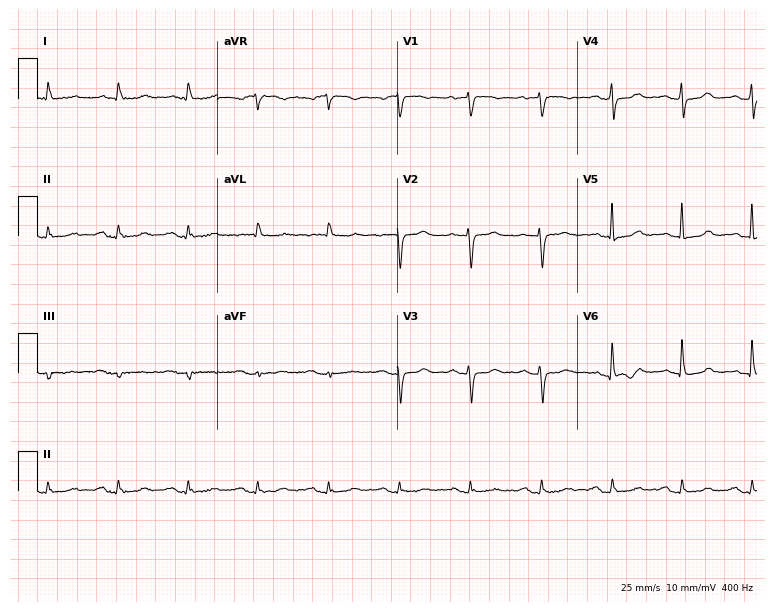
Standard 12-lead ECG recorded from a male patient, 75 years old (7.3-second recording at 400 Hz). None of these six findings is recorded: first-degree AV block, right bundle branch block, left bundle branch block, sinus bradycardia, atrial fibrillation, sinus tachycardia.